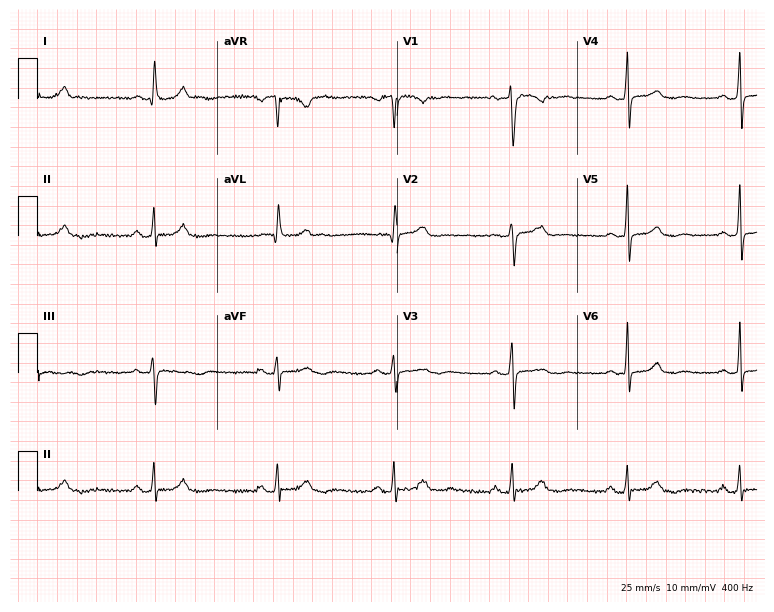
Standard 12-lead ECG recorded from a 52-year-old female (7.3-second recording at 400 Hz). None of these six findings is recorded: first-degree AV block, right bundle branch block (RBBB), left bundle branch block (LBBB), sinus bradycardia, atrial fibrillation (AF), sinus tachycardia. Other findings, if any, are not listed.